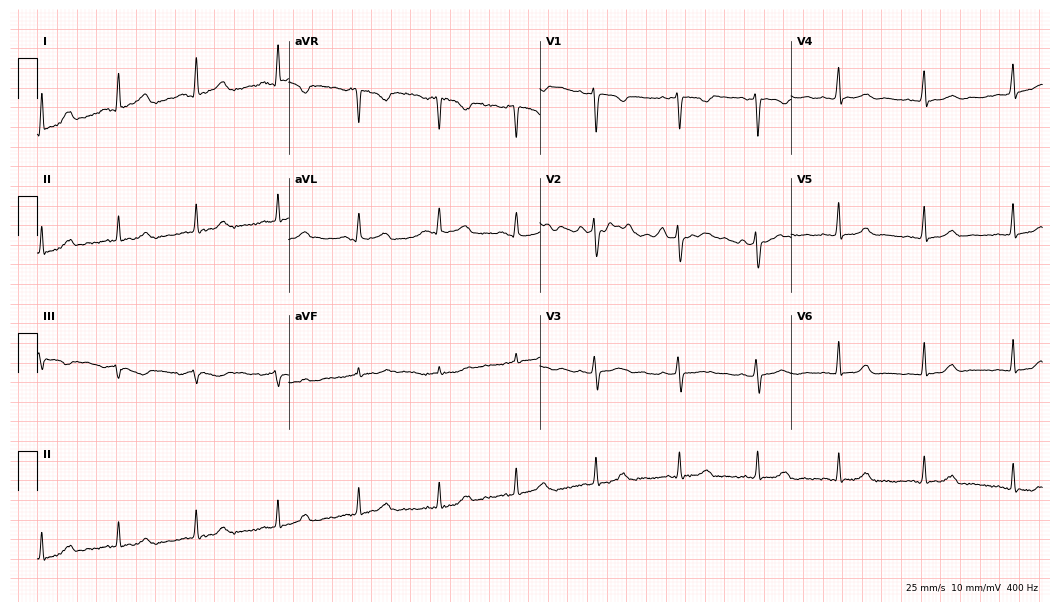
12-lead ECG from a female patient, 37 years old. Screened for six findings — first-degree AV block, right bundle branch block, left bundle branch block, sinus bradycardia, atrial fibrillation, sinus tachycardia — none is recorded.